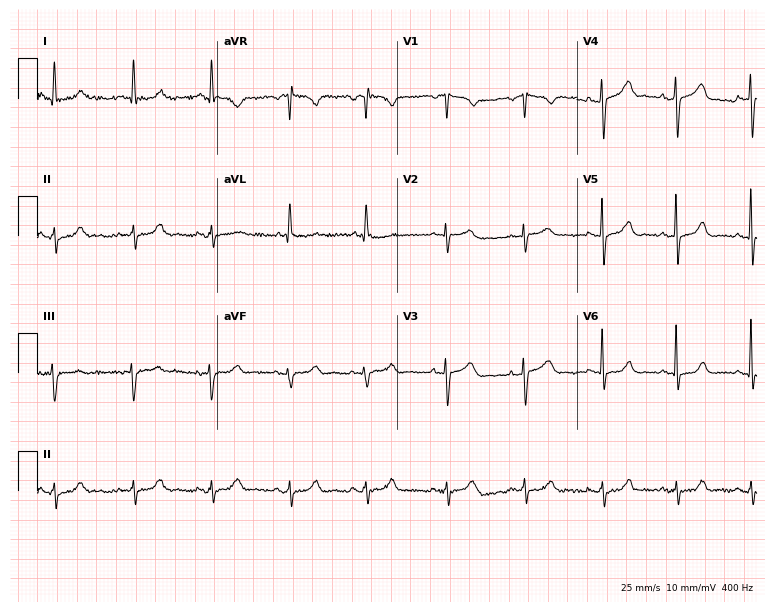
Standard 12-lead ECG recorded from a female patient, 76 years old (7.3-second recording at 400 Hz). None of these six findings is recorded: first-degree AV block, right bundle branch block (RBBB), left bundle branch block (LBBB), sinus bradycardia, atrial fibrillation (AF), sinus tachycardia. Findings outside these six are not listed.